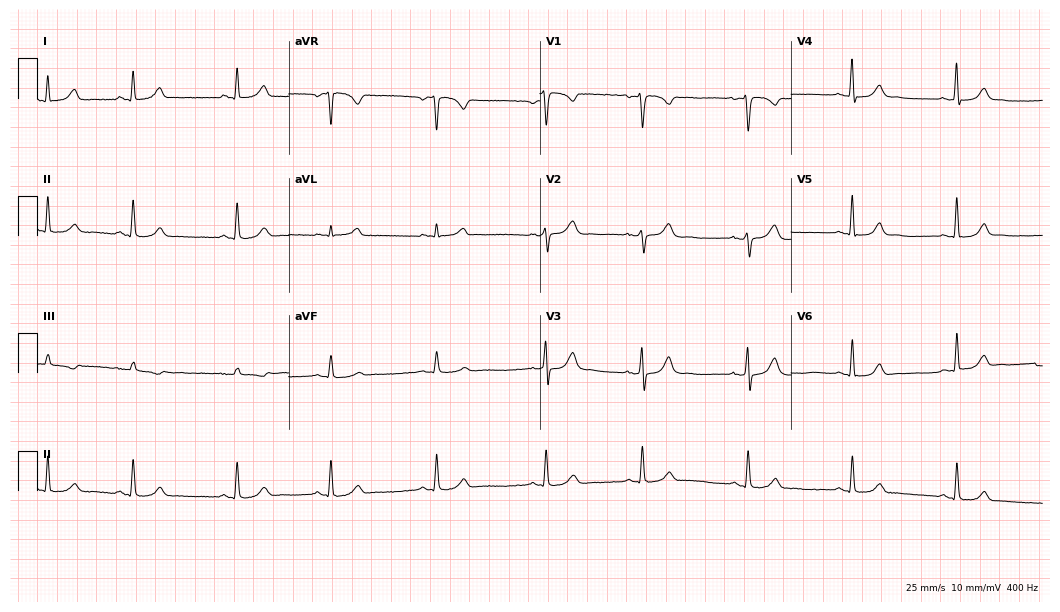
ECG (10.2-second recording at 400 Hz) — a female patient, 27 years old. Screened for six findings — first-degree AV block, right bundle branch block (RBBB), left bundle branch block (LBBB), sinus bradycardia, atrial fibrillation (AF), sinus tachycardia — none is recorded.